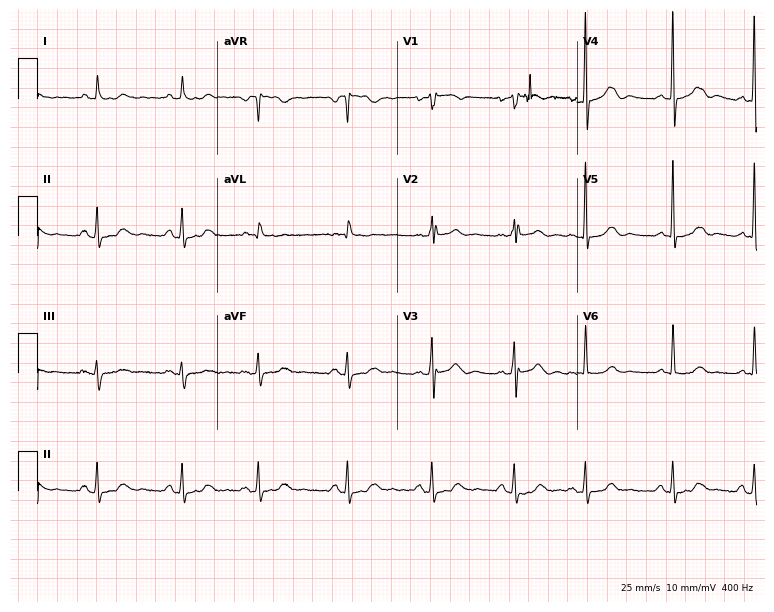
Resting 12-lead electrocardiogram. Patient: a woman, 72 years old. None of these six findings is recorded: first-degree AV block, right bundle branch block, left bundle branch block, sinus bradycardia, atrial fibrillation, sinus tachycardia.